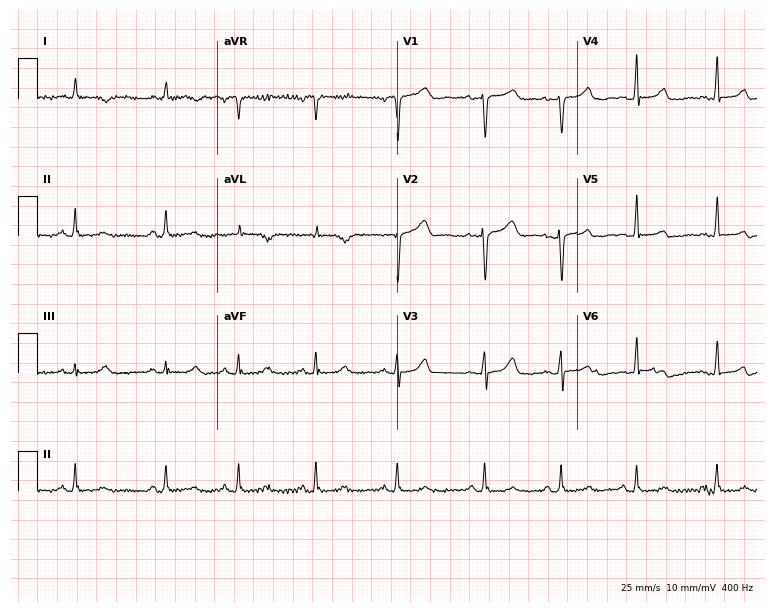
Electrocardiogram, a female, 74 years old. Overall reading on record: normal ECG.